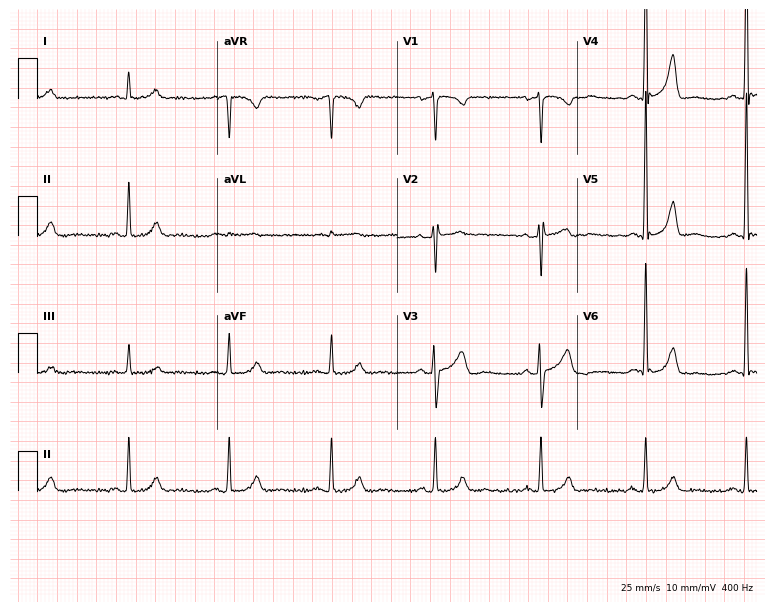
Standard 12-lead ECG recorded from a 60-year-old male. None of these six findings is recorded: first-degree AV block, right bundle branch block (RBBB), left bundle branch block (LBBB), sinus bradycardia, atrial fibrillation (AF), sinus tachycardia.